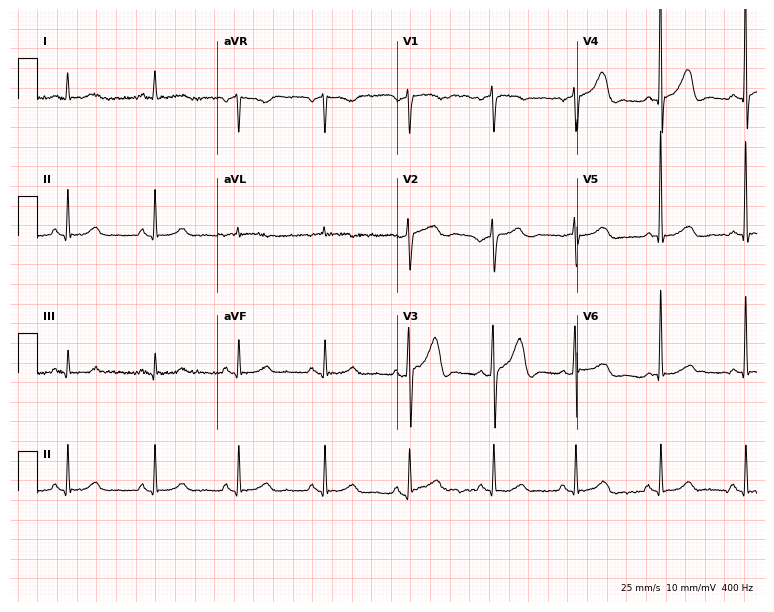
12-lead ECG (7.3-second recording at 400 Hz) from a male patient, 78 years old. Screened for six findings — first-degree AV block, right bundle branch block (RBBB), left bundle branch block (LBBB), sinus bradycardia, atrial fibrillation (AF), sinus tachycardia — none is recorded.